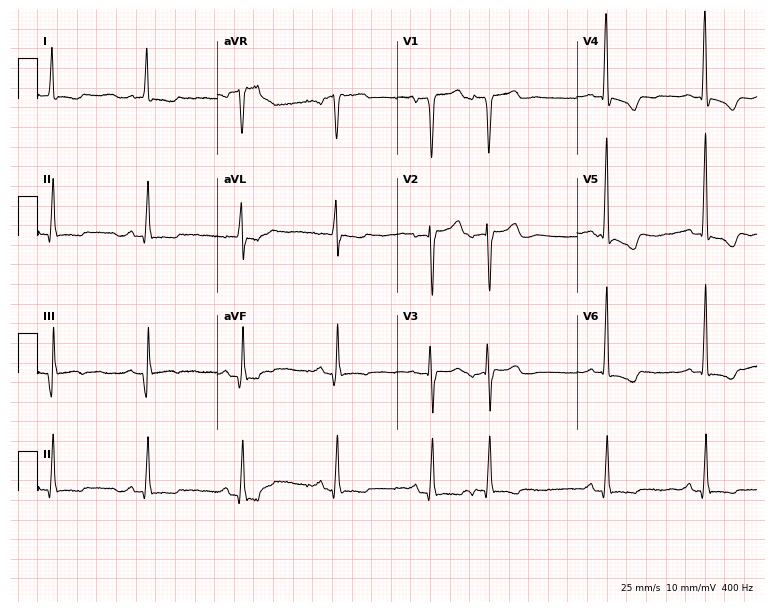
Resting 12-lead electrocardiogram (7.3-second recording at 400 Hz). Patient: a 75-year-old female. None of these six findings is recorded: first-degree AV block, right bundle branch block, left bundle branch block, sinus bradycardia, atrial fibrillation, sinus tachycardia.